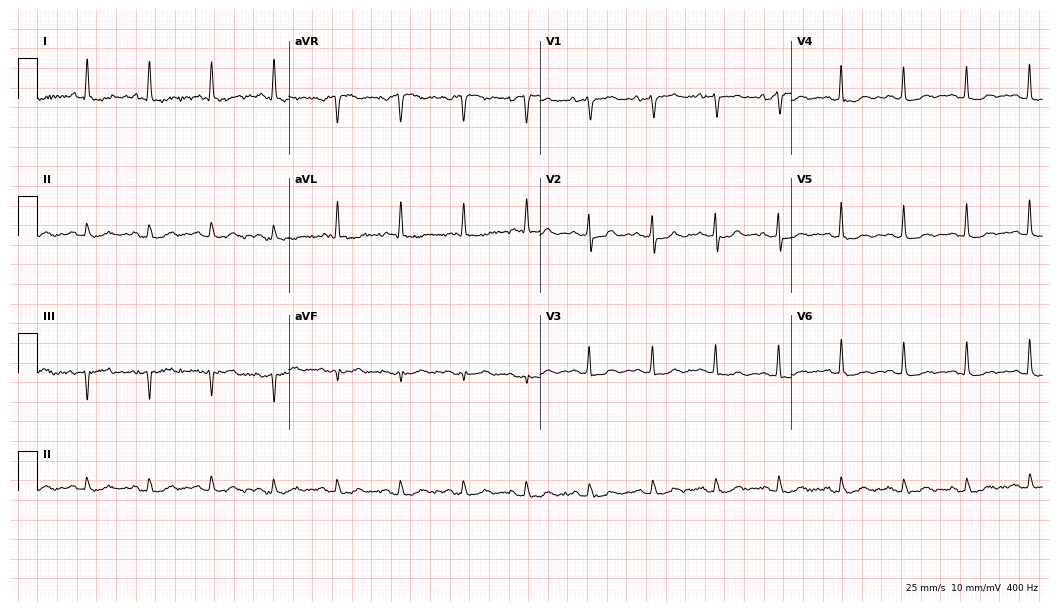
12-lead ECG from an 83-year-old male (10.2-second recording at 400 Hz). No first-degree AV block, right bundle branch block, left bundle branch block, sinus bradycardia, atrial fibrillation or sinus tachycardia recorded for this tracing. Other findings, if any, are not listed.